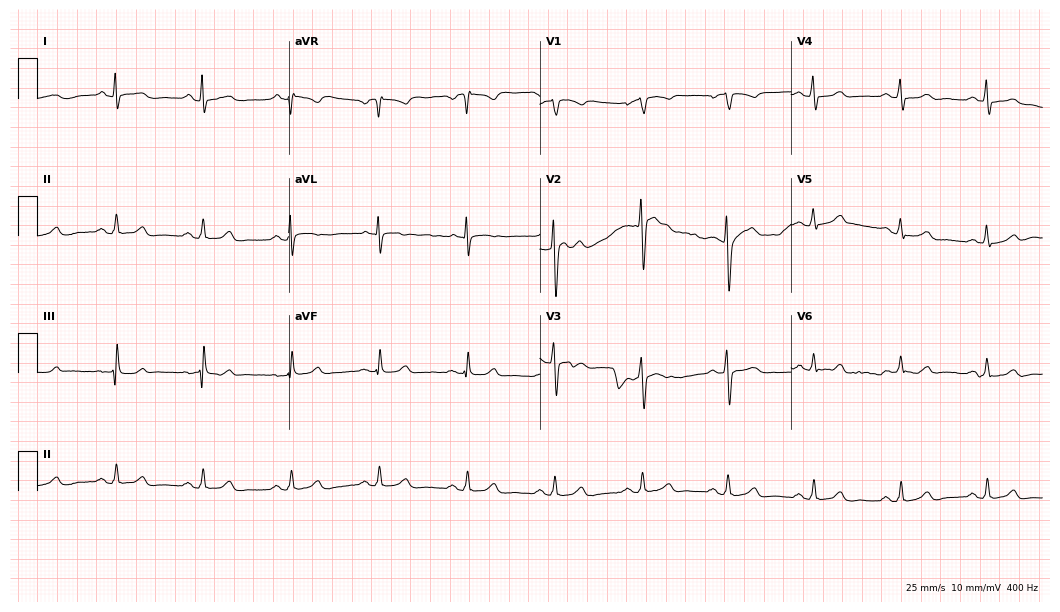
12-lead ECG from a male, 57 years old. Screened for six findings — first-degree AV block, right bundle branch block (RBBB), left bundle branch block (LBBB), sinus bradycardia, atrial fibrillation (AF), sinus tachycardia — none is recorded. Other findings, if any, are not listed.